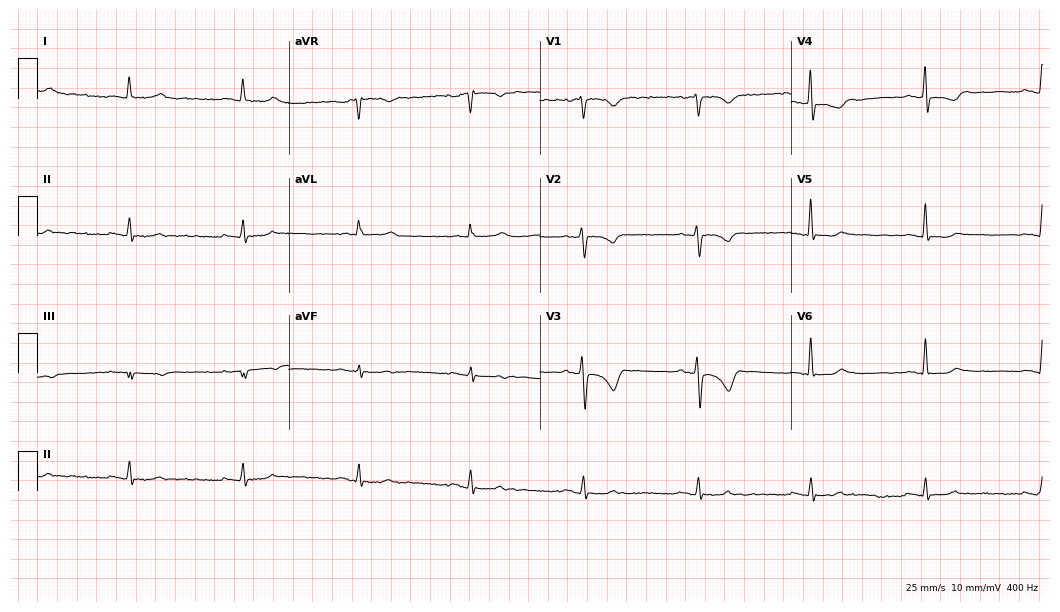
Standard 12-lead ECG recorded from a female, 55 years old (10.2-second recording at 400 Hz). None of these six findings is recorded: first-degree AV block, right bundle branch block, left bundle branch block, sinus bradycardia, atrial fibrillation, sinus tachycardia. Only these six findings were labelled.